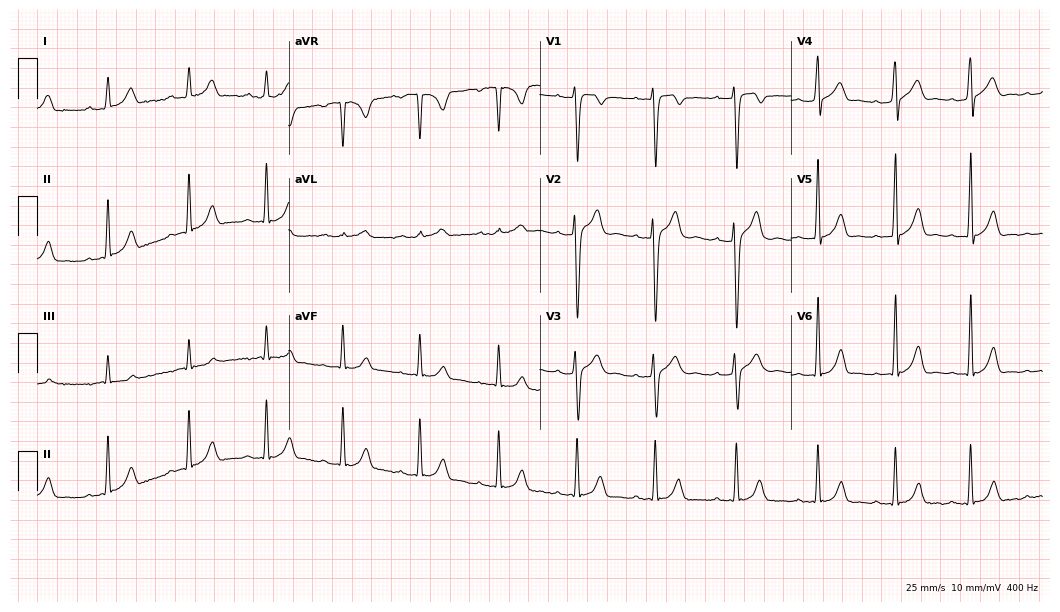
Electrocardiogram (10.2-second recording at 400 Hz), a 23-year-old man. Overall reading on record: normal ECG.